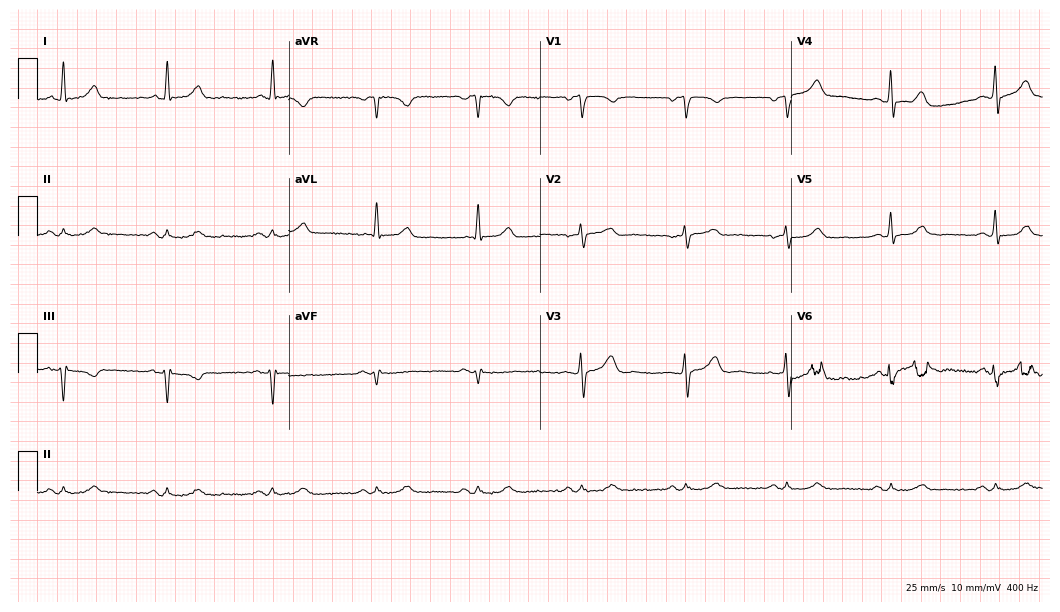
12-lead ECG (10.2-second recording at 400 Hz) from a 74-year-old man. Labelled as a normal ECG.